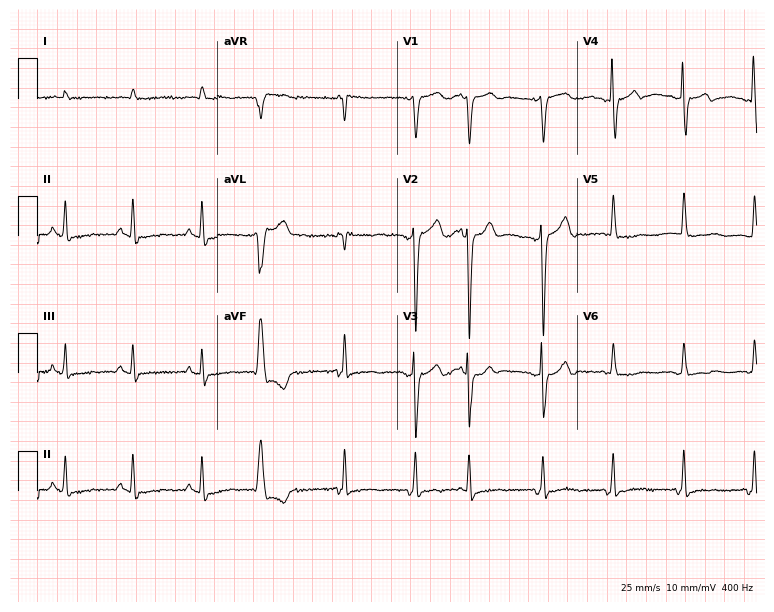
Resting 12-lead electrocardiogram. Patient: an 83-year-old man. None of these six findings is recorded: first-degree AV block, right bundle branch block, left bundle branch block, sinus bradycardia, atrial fibrillation, sinus tachycardia.